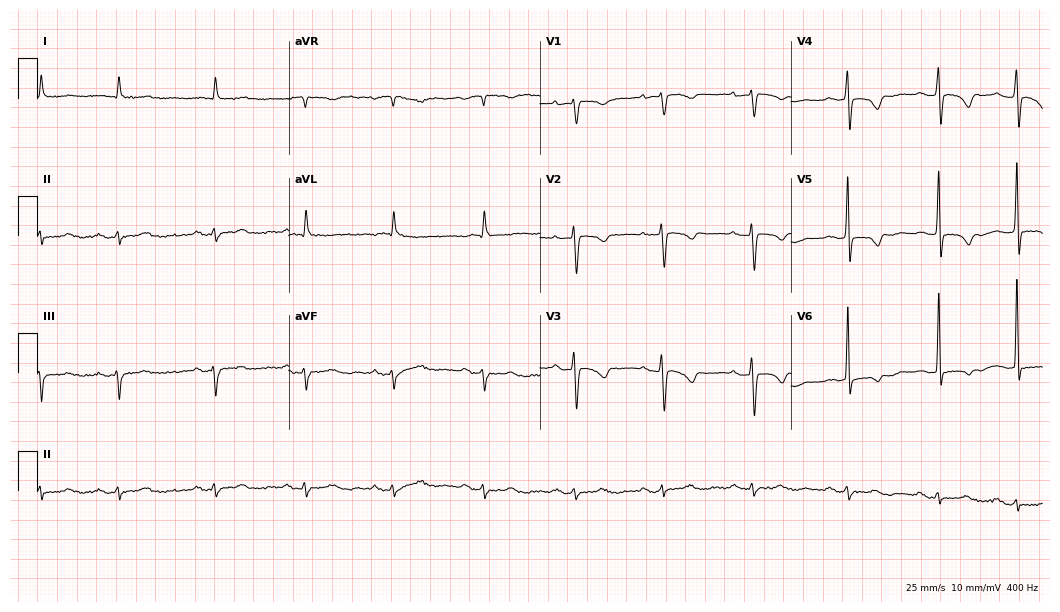
Standard 12-lead ECG recorded from an 82-year-old female patient (10.2-second recording at 400 Hz). None of these six findings is recorded: first-degree AV block, right bundle branch block (RBBB), left bundle branch block (LBBB), sinus bradycardia, atrial fibrillation (AF), sinus tachycardia.